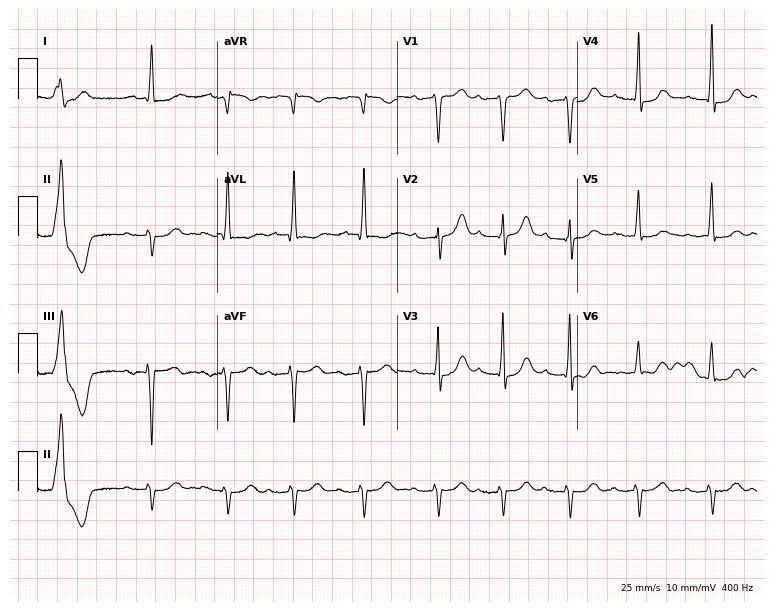
12-lead ECG (7.3-second recording at 400 Hz) from a 79-year-old male. Findings include first-degree AV block.